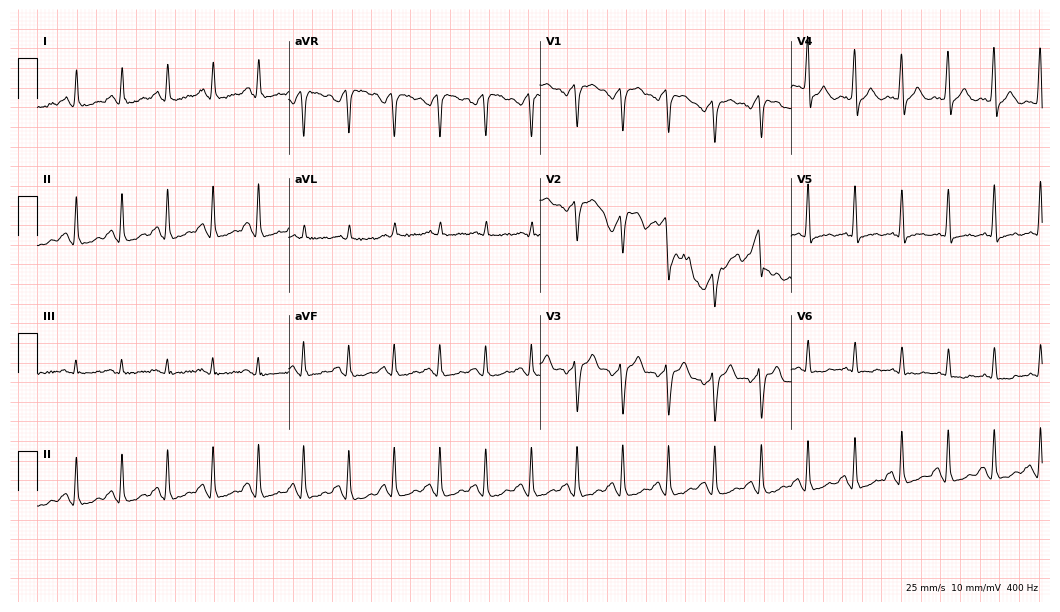
12-lead ECG (10.2-second recording at 400 Hz) from a 74-year-old male. Findings include sinus tachycardia (a sinus rate of 100 beats per minute or more).